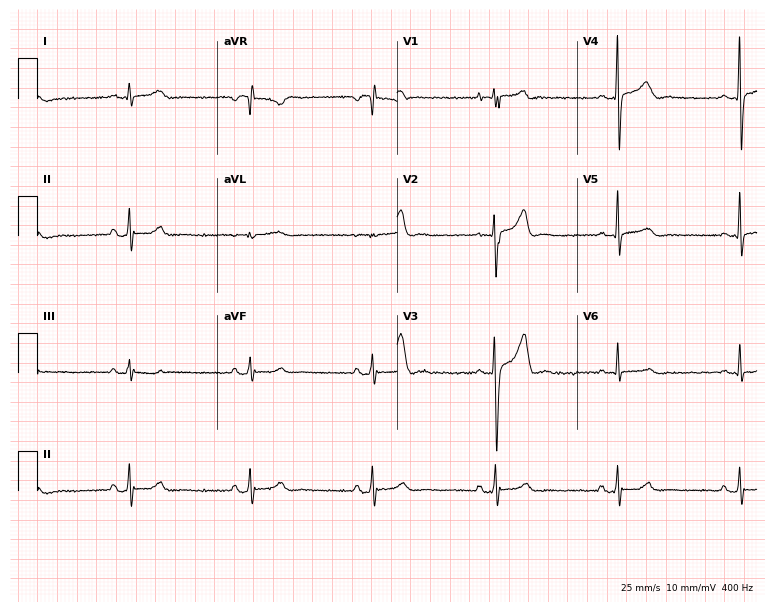
12-lead ECG from a 22-year-old man. Screened for six findings — first-degree AV block, right bundle branch block, left bundle branch block, sinus bradycardia, atrial fibrillation, sinus tachycardia — none is recorded. Other findings, if any, are not listed.